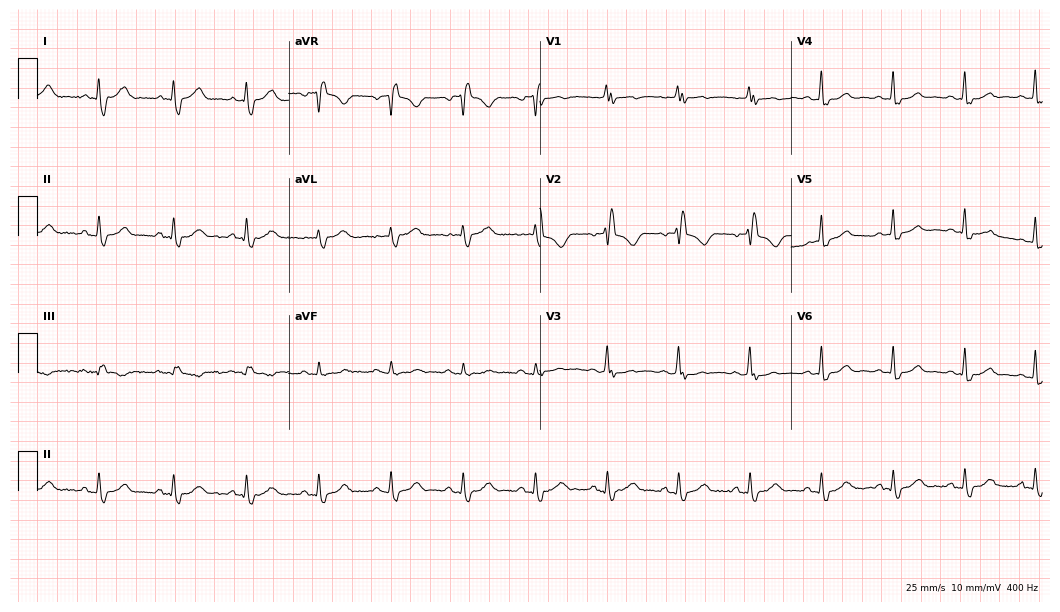
12-lead ECG (10.2-second recording at 400 Hz) from a female patient, 49 years old. Screened for six findings — first-degree AV block, right bundle branch block, left bundle branch block, sinus bradycardia, atrial fibrillation, sinus tachycardia — none is recorded. Other findings, if any, are not listed.